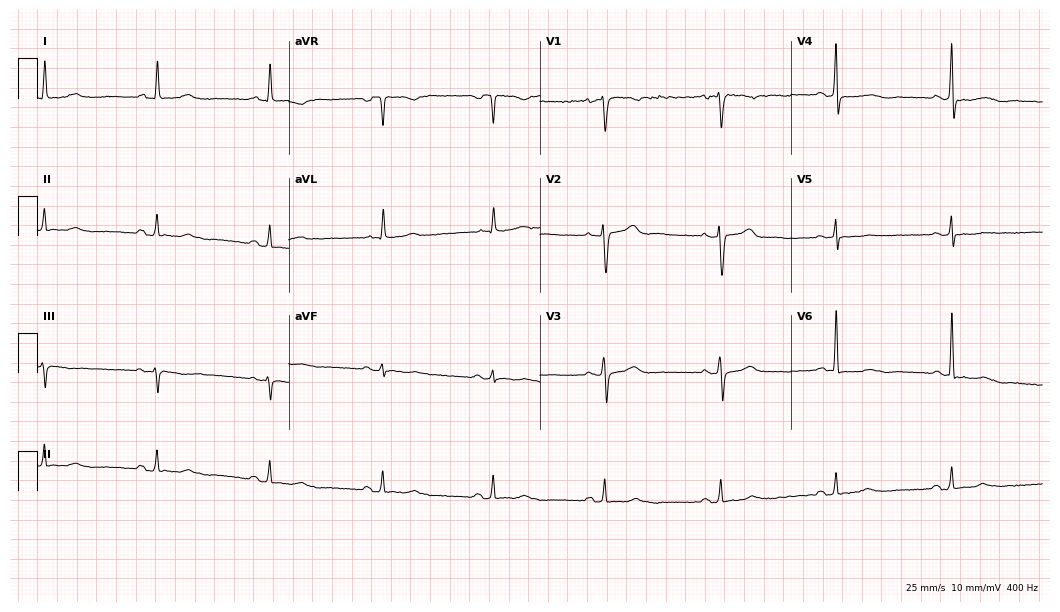
Electrocardiogram, a 71-year-old woman. Of the six screened findings (first-degree AV block, right bundle branch block, left bundle branch block, sinus bradycardia, atrial fibrillation, sinus tachycardia), none is recorded.